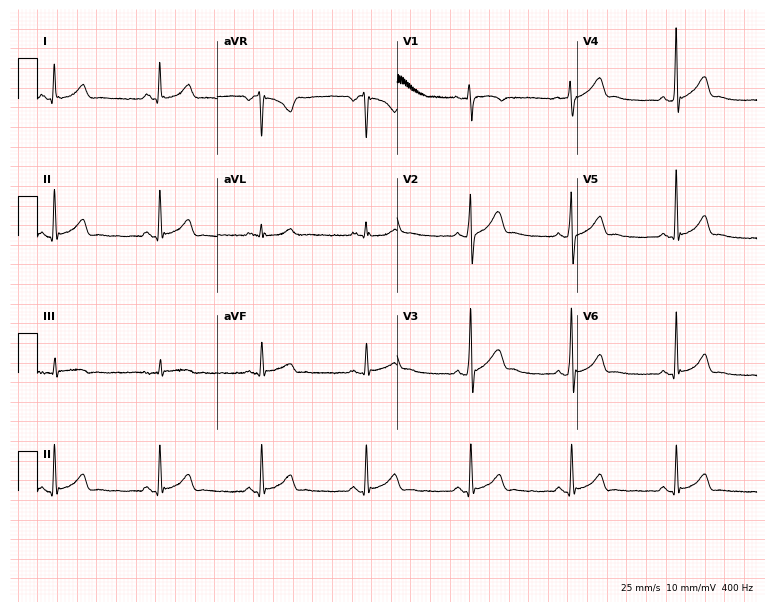
Electrocardiogram, a male, 25 years old. Overall reading on record: normal ECG.